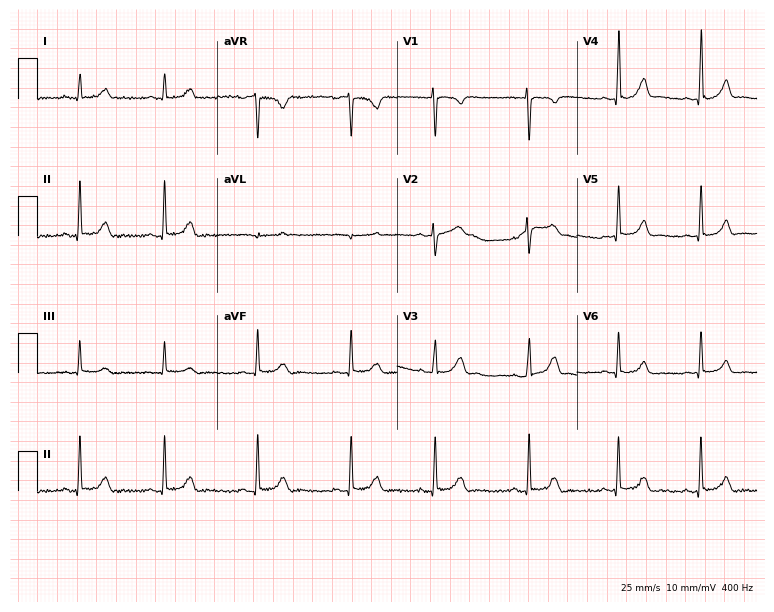
Standard 12-lead ECG recorded from a 29-year-old female patient. Read as a normal ECG.